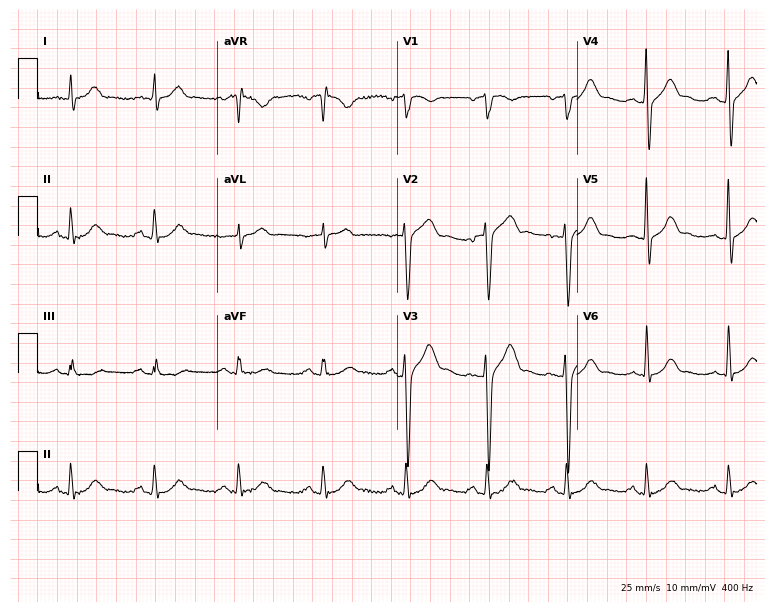
12-lead ECG (7.3-second recording at 400 Hz) from a male, 58 years old. Labelled as a normal ECG.